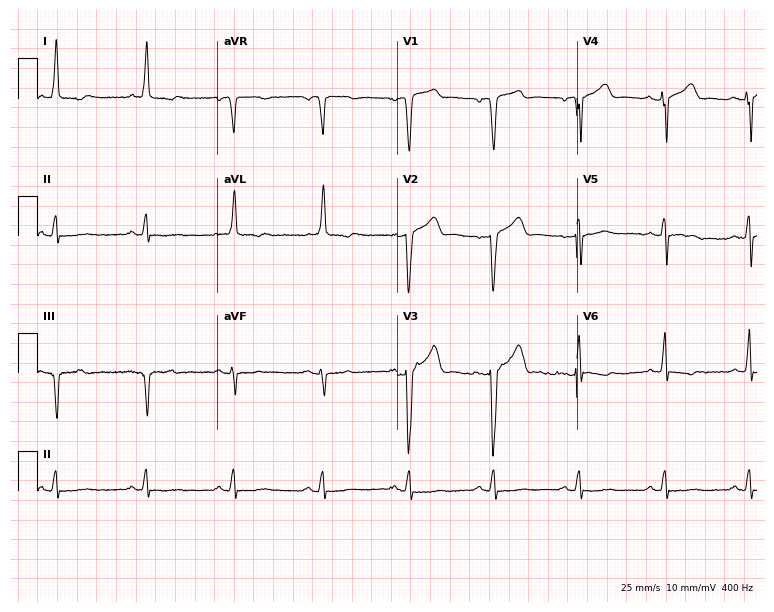
Resting 12-lead electrocardiogram. Patient: a male, 66 years old. None of these six findings is recorded: first-degree AV block, right bundle branch block, left bundle branch block, sinus bradycardia, atrial fibrillation, sinus tachycardia. Findings outside these six are not listed.